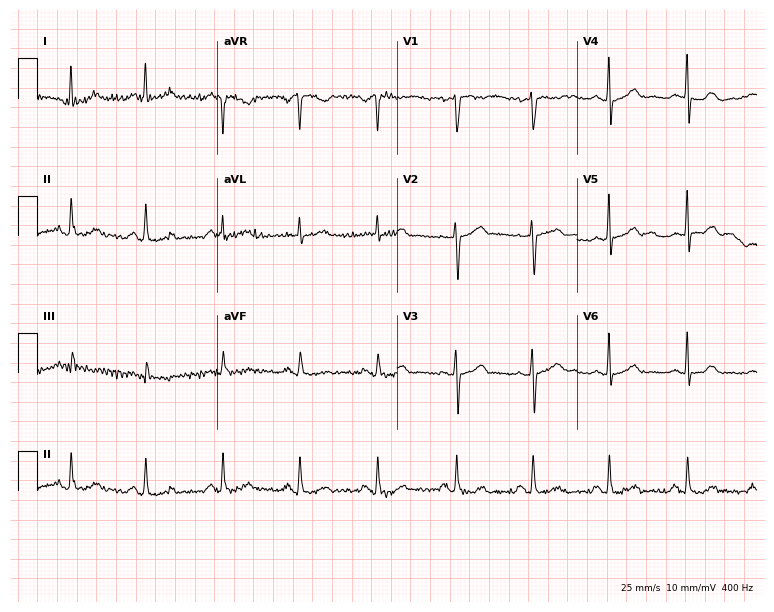
Electrocardiogram (7.3-second recording at 400 Hz), a 39-year-old woman. Overall reading on record: normal ECG.